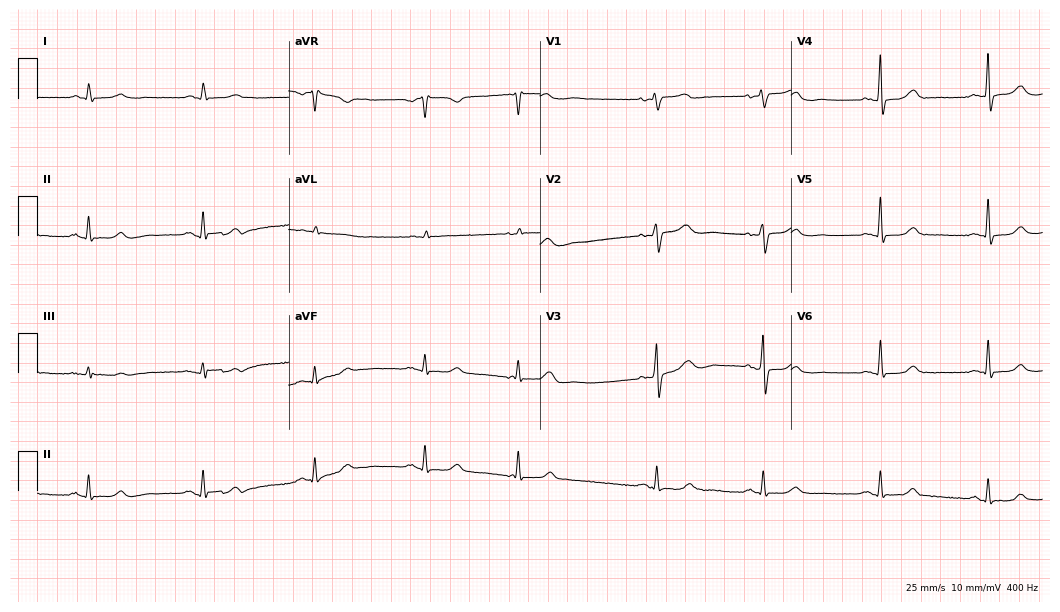
ECG — a female patient, 67 years old. Screened for six findings — first-degree AV block, right bundle branch block, left bundle branch block, sinus bradycardia, atrial fibrillation, sinus tachycardia — none is recorded.